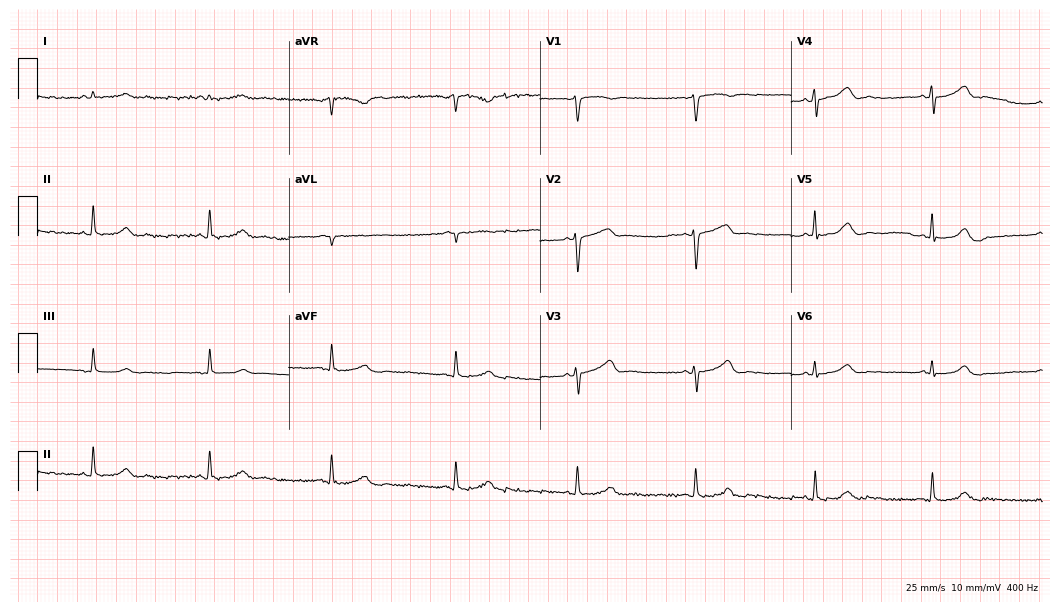
Standard 12-lead ECG recorded from a man, 61 years old. Read as a normal ECG.